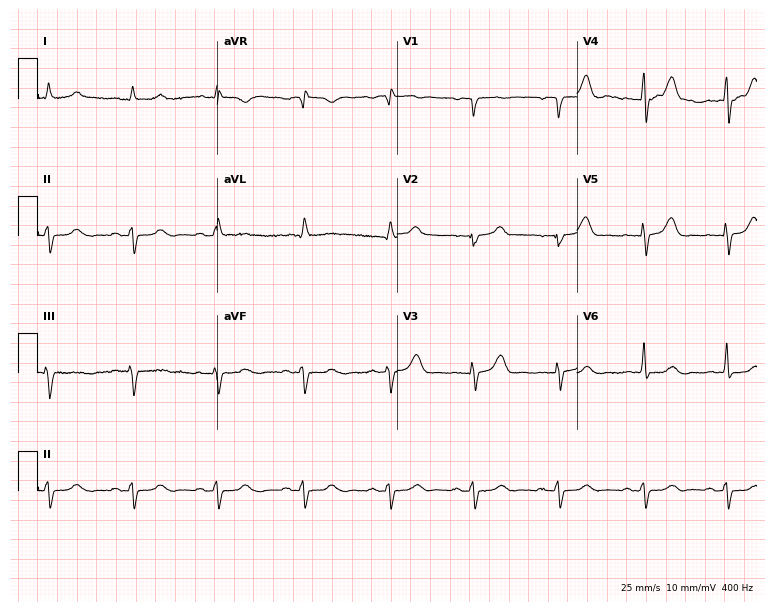
12-lead ECG from a man, 64 years old. Screened for six findings — first-degree AV block, right bundle branch block, left bundle branch block, sinus bradycardia, atrial fibrillation, sinus tachycardia — none is recorded.